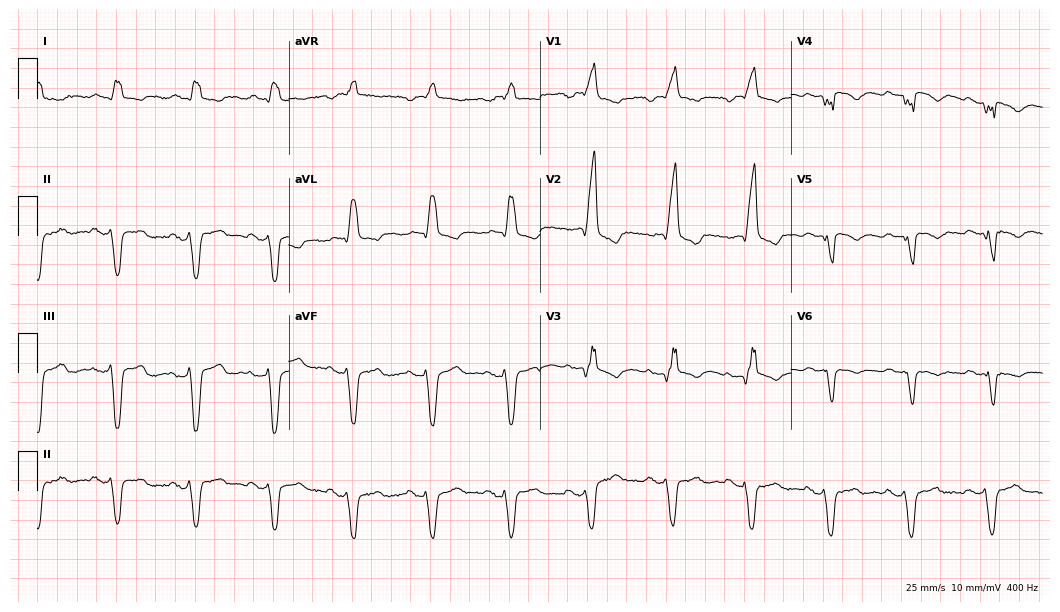
12-lead ECG from an 81-year-old man. Shows right bundle branch block.